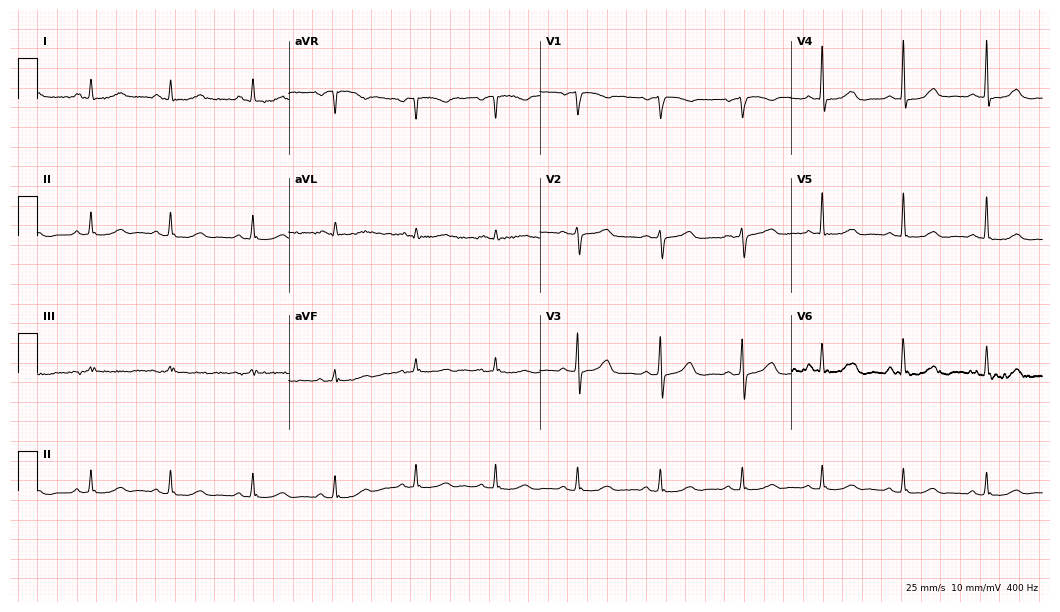
12-lead ECG from a 72-year-old woman. Labelled as a normal ECG.